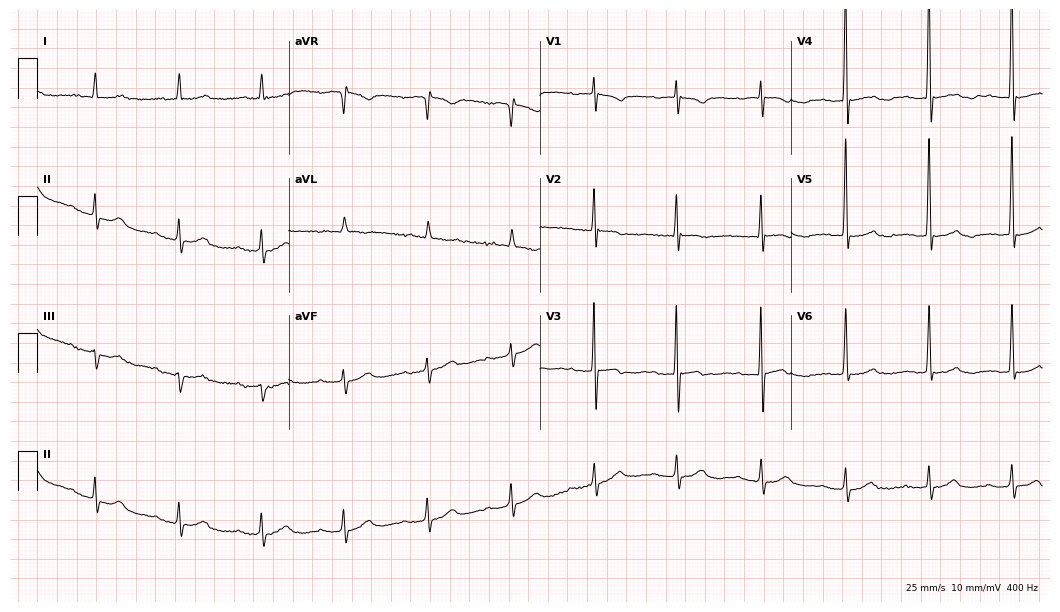
12-lead ECG from an 84-year-old female patient. Findings include first-degree AV block.